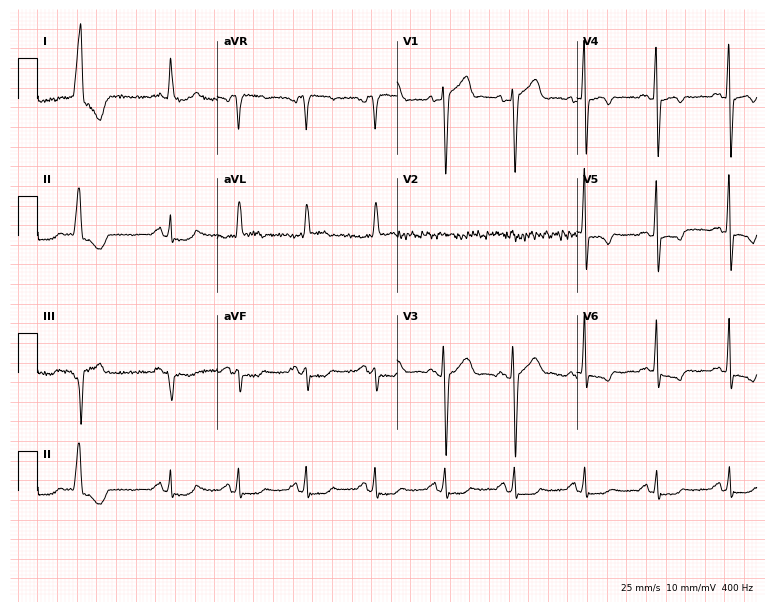
Electrocardiogram, an 80-year-old man. Of the six screened findings (first-degree AV block, right bundle branch block (RBBB), left bundle branch block (LBBB), sinus bradycardia, atrial fibrillation (AF), sinus tachycardia), none is recorded.